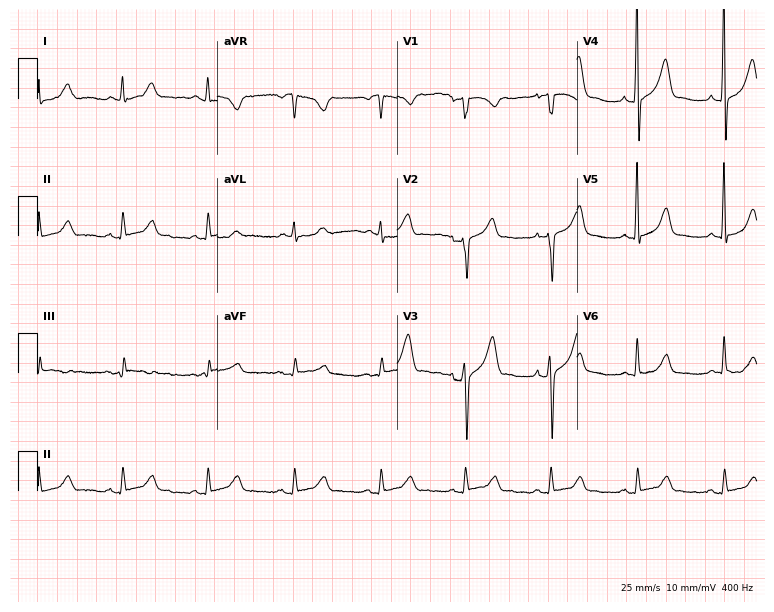
12-lead ECG (7.3-second recording at 400 Hz) from a woman, 61 years old. Labelled as a normal ECG.